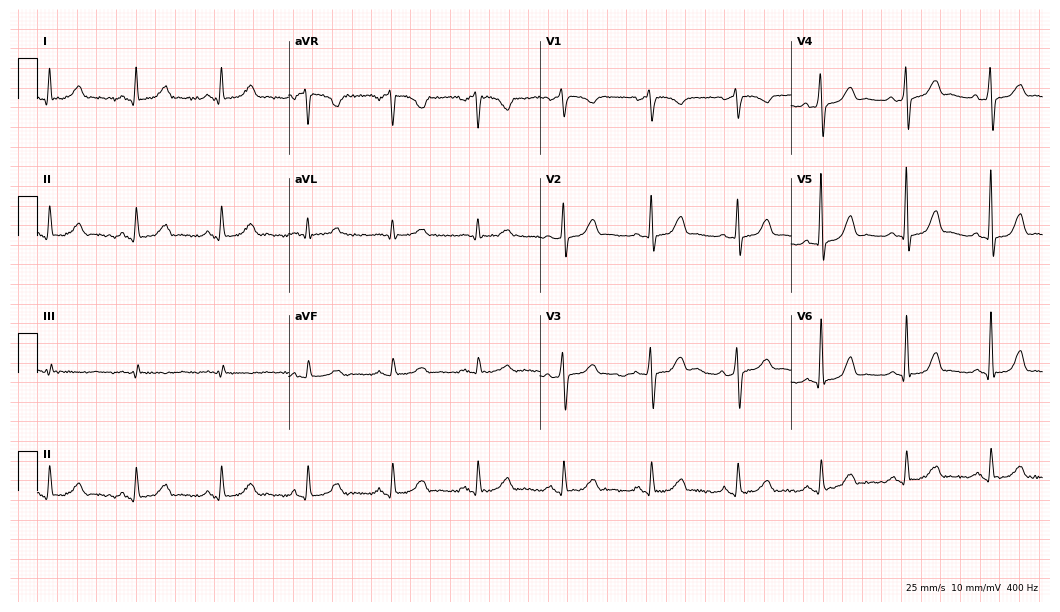
Resting 12-lead electrocardiogram. Patient: a woman, 54 years old. Read as a normal ECG.